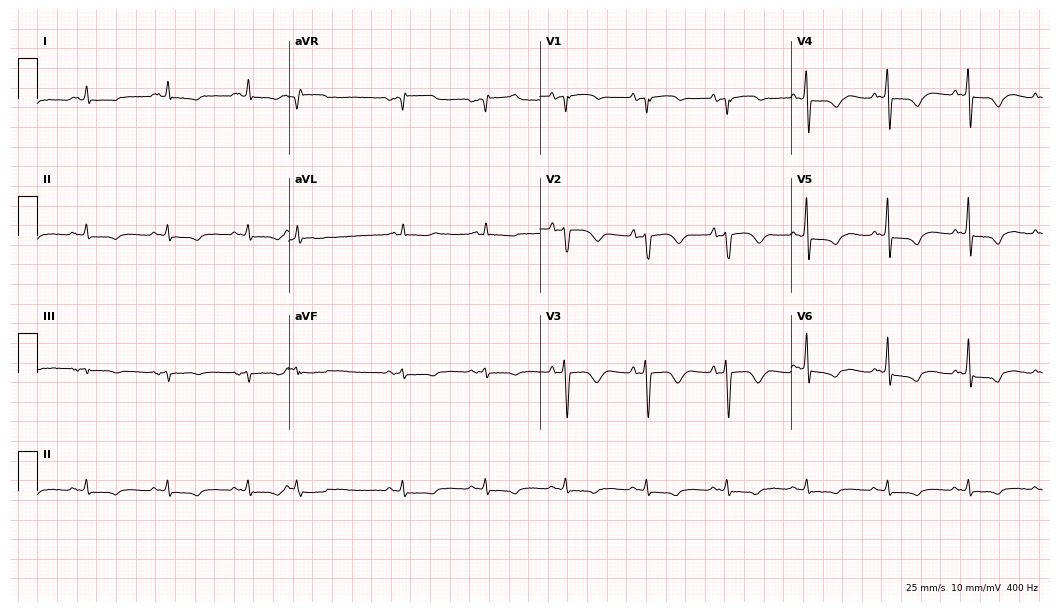
Electrocardiogram, a female, 81 years old. Of the six screened findings (first-degree AV block, right bundle branch block, left bundle branch block, sinus bradycardia, atrial fibrillation, sinus tachycardia), none is recorded.